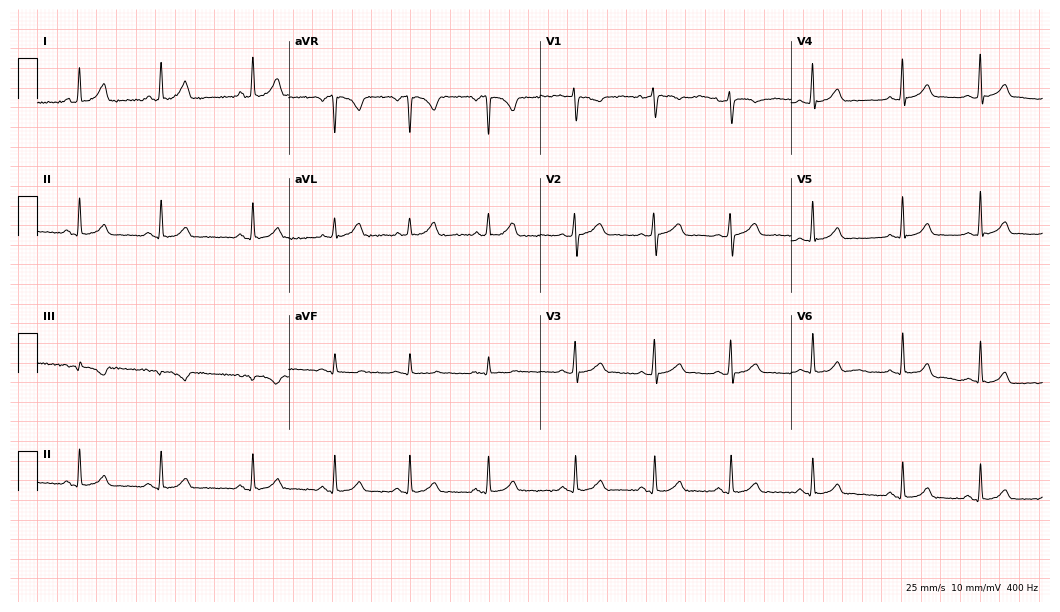
12-lead ECG (10.2-second recording at 400 Hz) from a woman, 31 years old. Labelled as a normal ECG.